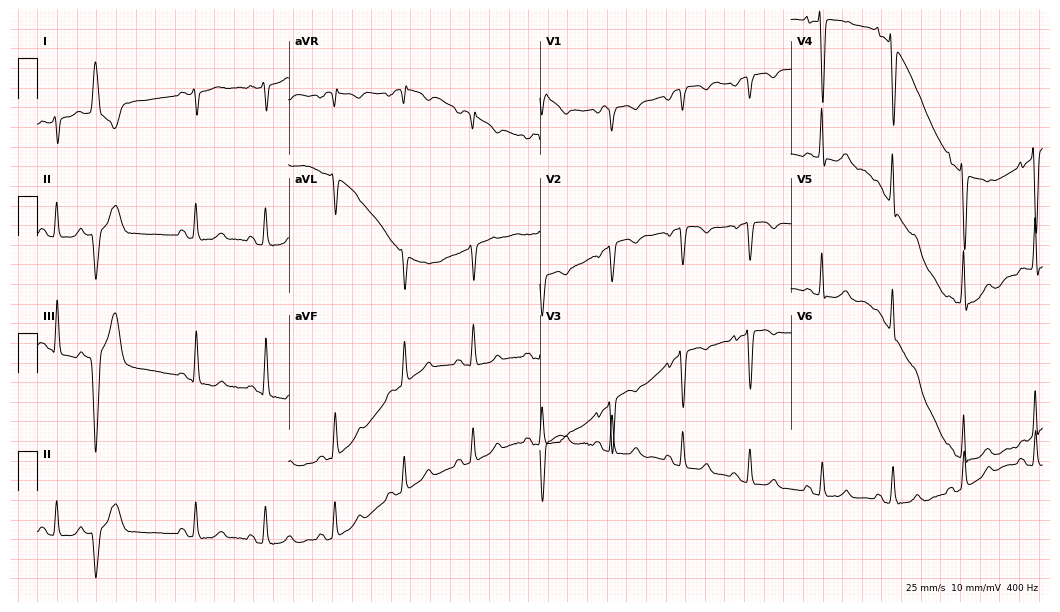
Electrocardiogram (10.2-second recording at 400 Hz), a woman, 61 years old. Of the six screened findings (first-degree AV block, right bundle branch block, left bundle branch block, sinus bradycardia, atrial fibrillation, sinus tachycardia), none is recorded. Findings outside these six are not listed.